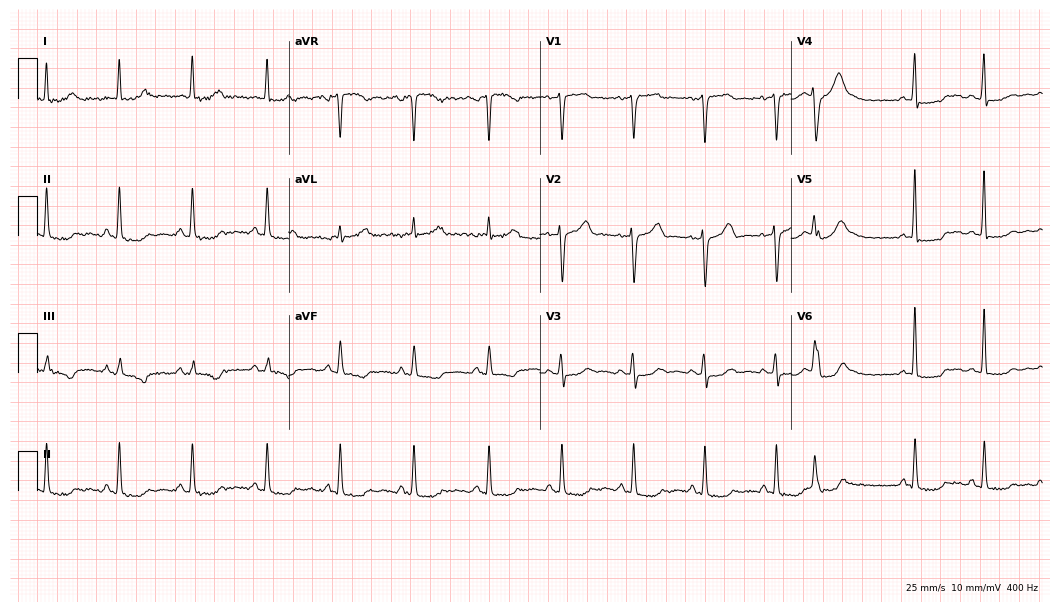
ECG (10.2-second recording at 400 Hz) — a female, 59 years old. Screened for six findings — first-degree AV block, right bundle branch block, left bundle branch block, sinus bradycardia, atrial fibrillation, sinus tachycardia — none is recorded. Findings outside these six are not listed.